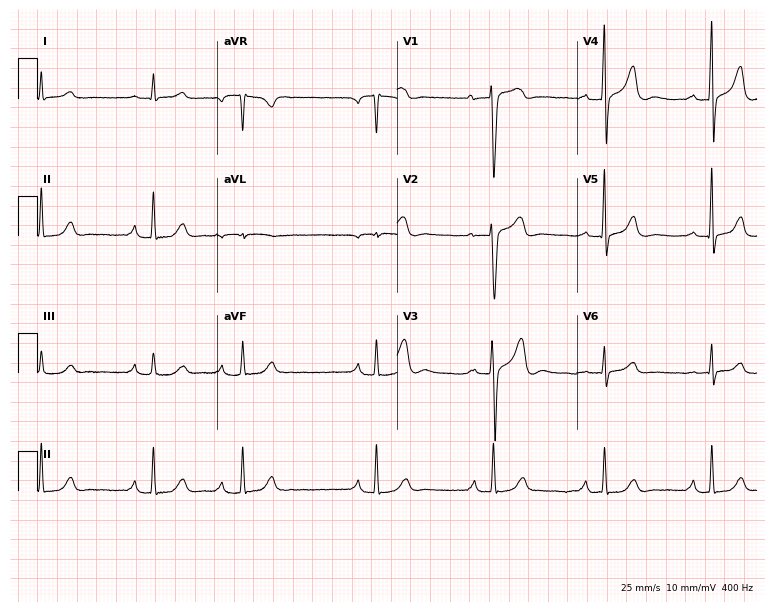
12-lead ECG from a 63-year-old male. Findings include first-degree AV block.